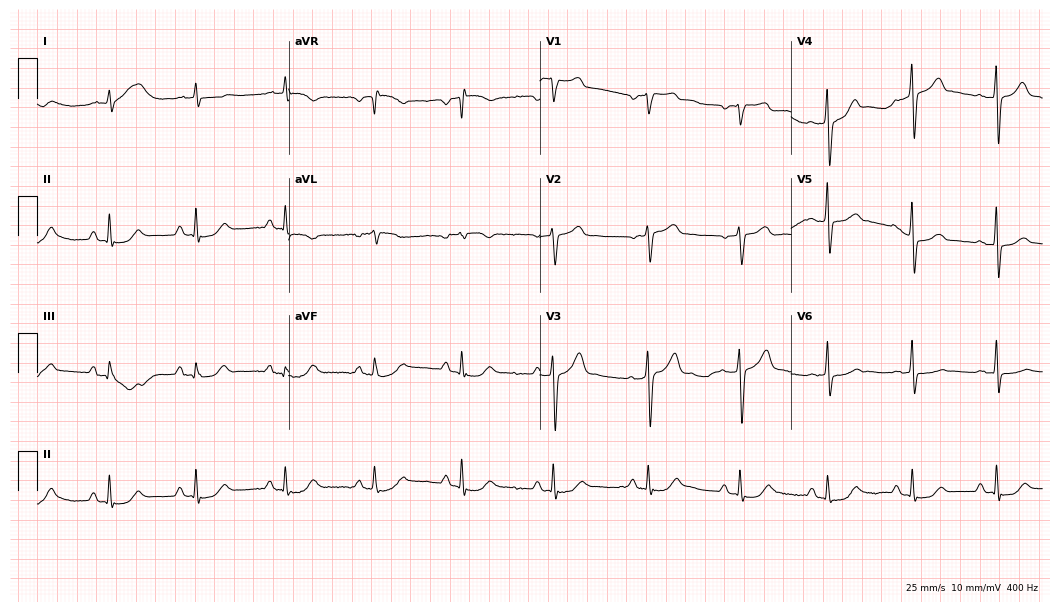
ECG — a man, 79 years old. Labelled as a normal ECG.